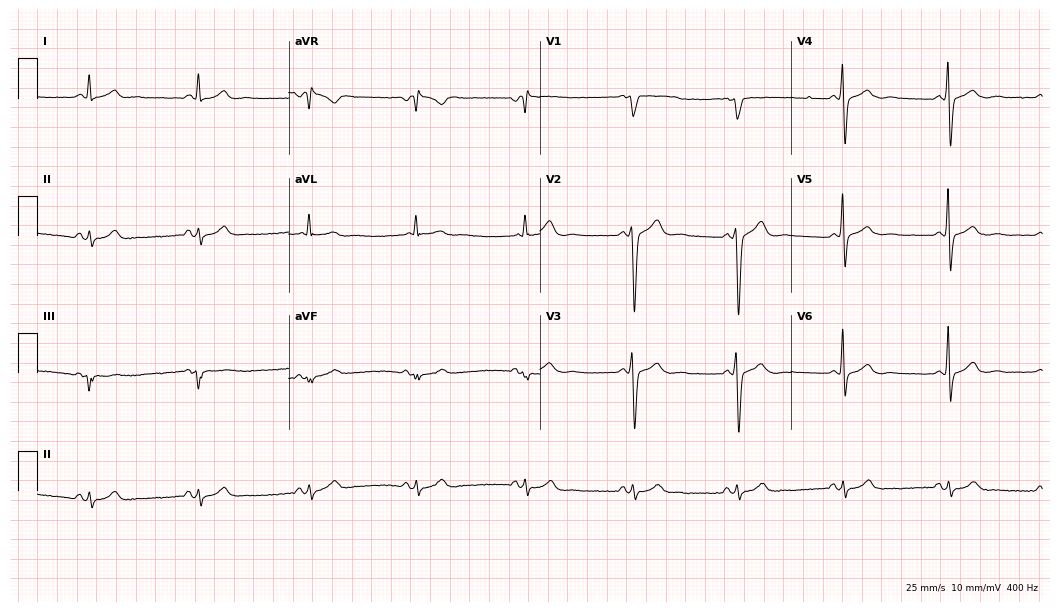
Resting 12-lead electrocardiogram. Patient: a 43-year-old male. None of these six findings is recorded: first-degree AV block, right bundle branch block, left bundle branch block, sinus bradycardia, atrial fibrillation, sinus tachycardia.